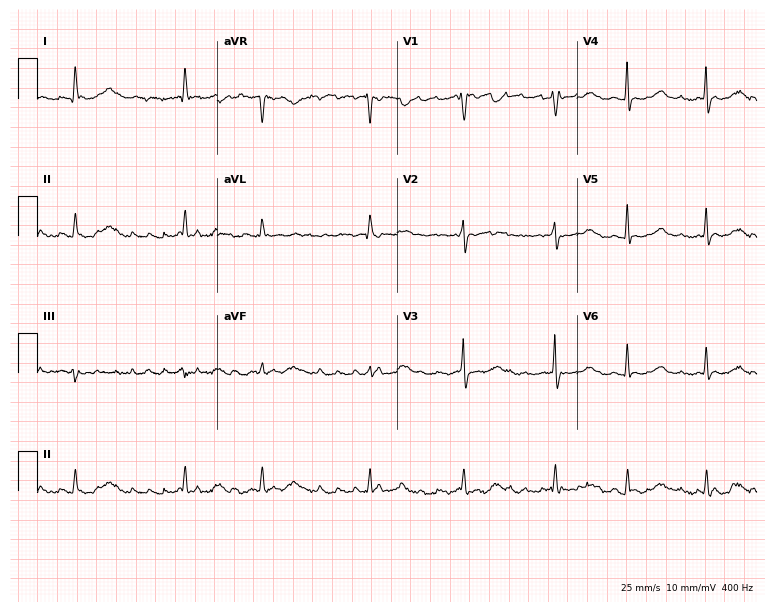
12-lead ECG from a female patient, 68 years old (7.3-second recording at 400 Hz). Shows atrial fibrillation.